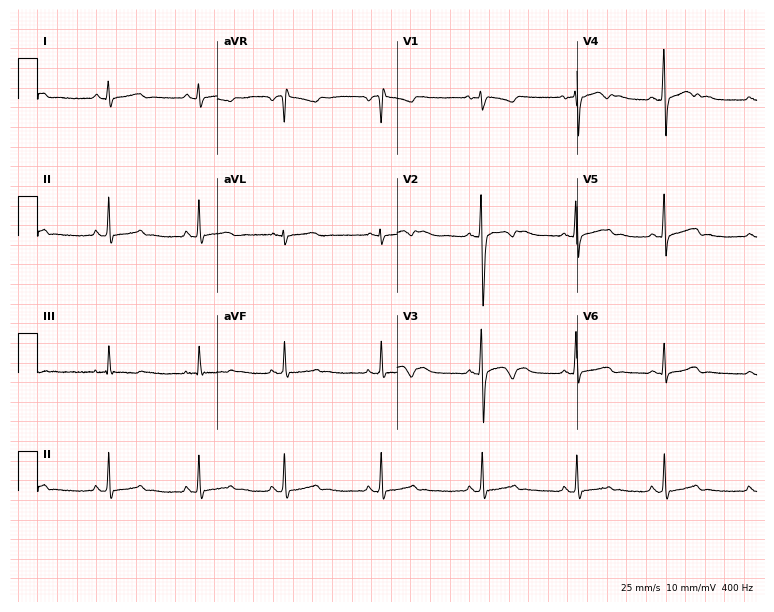
12-lead ECG (7.3-second recording at 400 Hz) from a 19-year-old female patient. Screened for six findings — first-degree AV block, right bundle branch block, left bundle branch block, sinus bradycardia, atrial fibrillation, sinus tachycardia — none is recorded. Other findings, if any, are not listed.